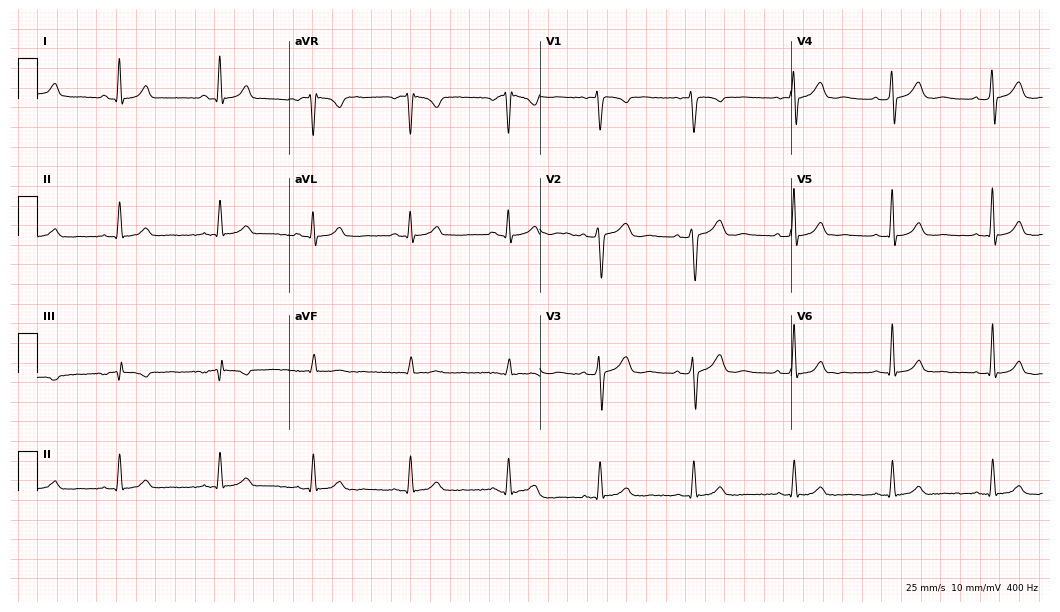
12-lead ECG from a 31-year-old female. Recorded interpretation: within normal limits.